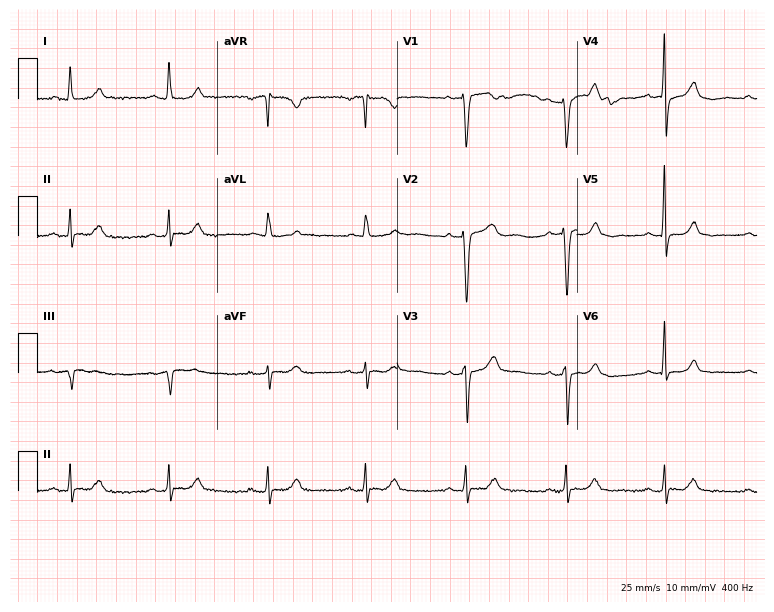
12-lead ECG from a female, 70 years old (7.3-second recording at 400 Hz). No first-degree AV block, right bundle branch block (RBBB), left bundle branch block (LBBB), sinus bradycardia, atrial fibrillation (AF) or sinus tachycardia recorded for this tracing.